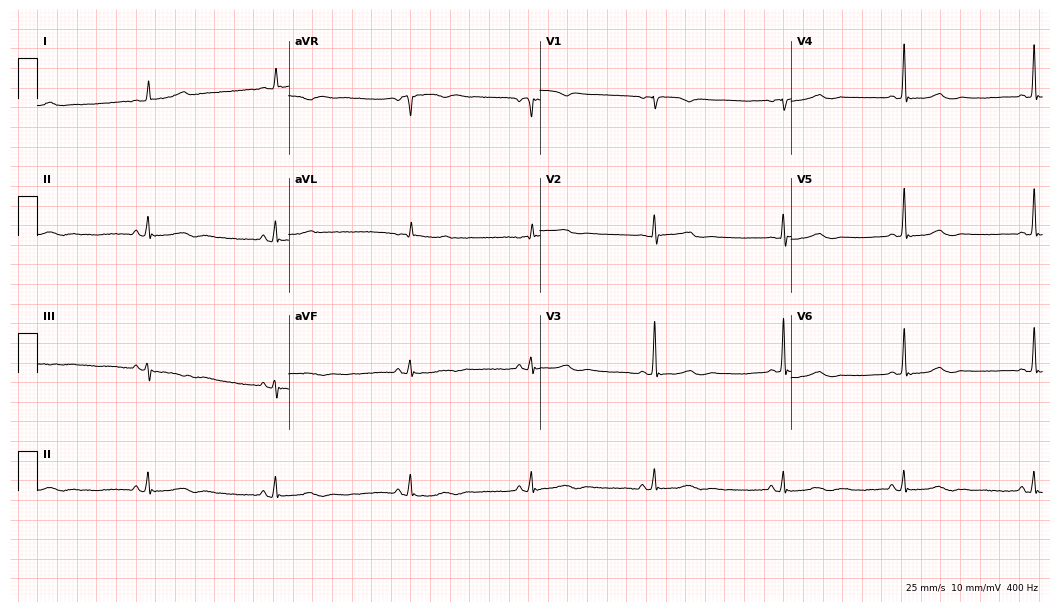
Electrocardiogram (10.2-second recording at 400 Hz), a woman, 50 years old. Interpretation includes sinus bradycardia (a sinus rate of 50 beats per minute or less).